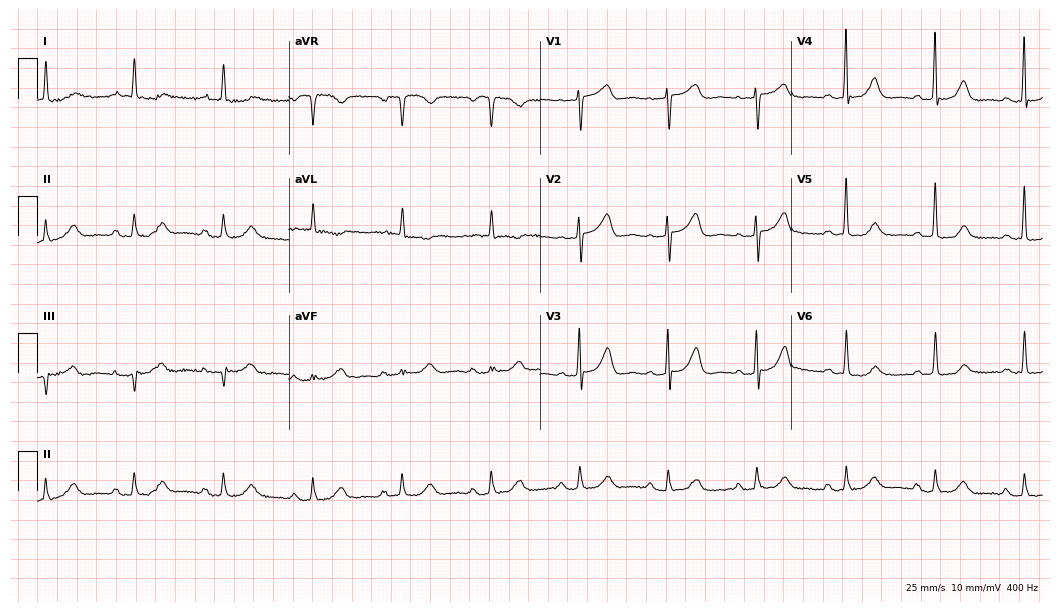
12-lead ECG from a female patient, 80 years old. Recorded interpretation: within normal limits.